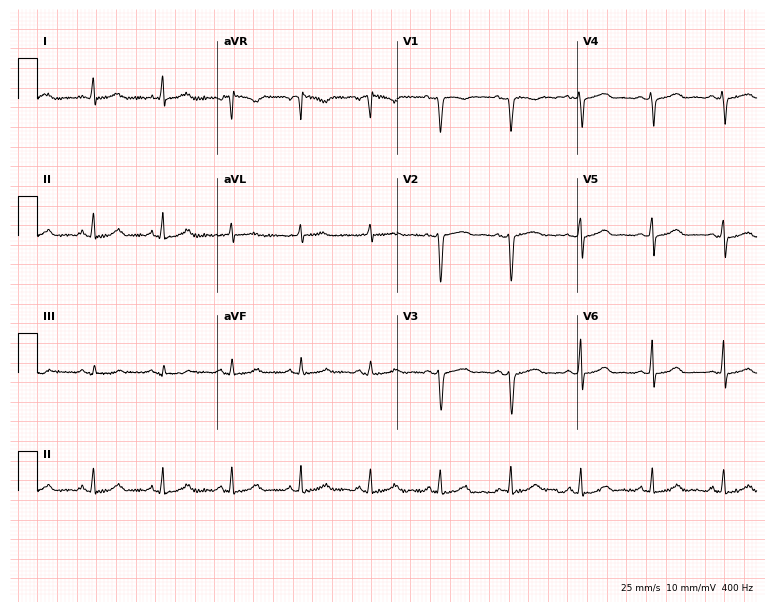
ECG — a female, 31 years old. Labelled as a normal ECG.